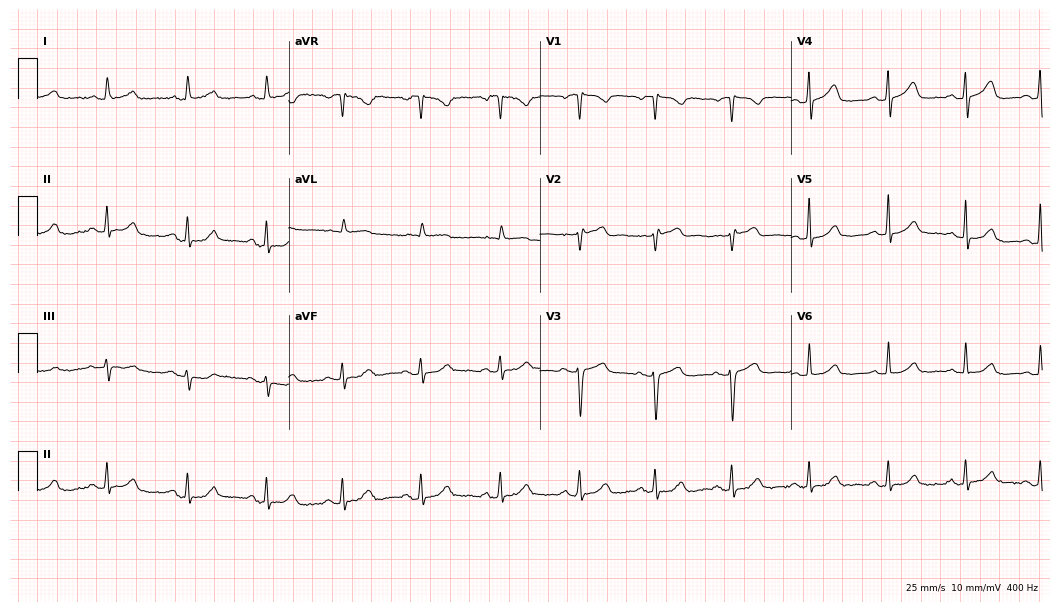
12-lead ECG from a 66-year-old female (10.2-second recording at 400 Hz). No first-degree AV block, right bundle branch block, left bundle branch block, sinus bradycardia, atrial fibrillation or sinus tachycardia recorded for this tracing. Only these six findings were labelled.